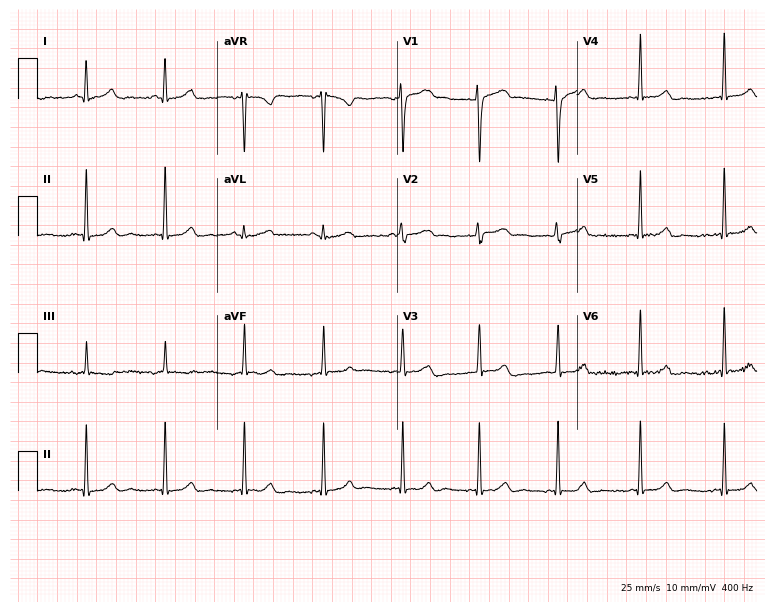
Resting 12-lead electrocardiogram. Patient: a female, 25 years old. Read as a normal ECG.